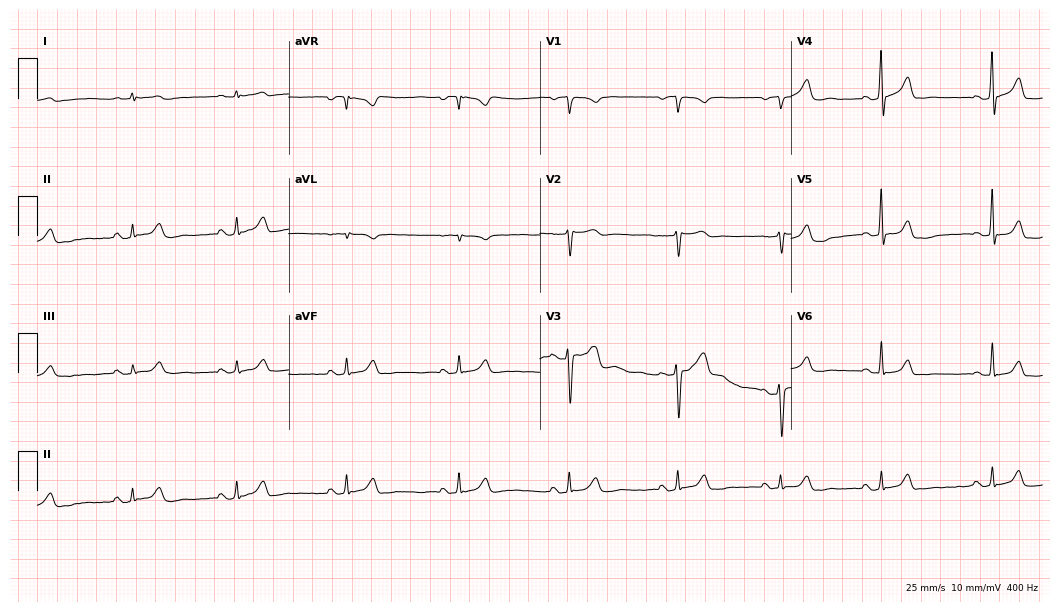
Resting 12-lead electrocardiogram. Patient: a 47-year-old male. Read as a normal ECG.